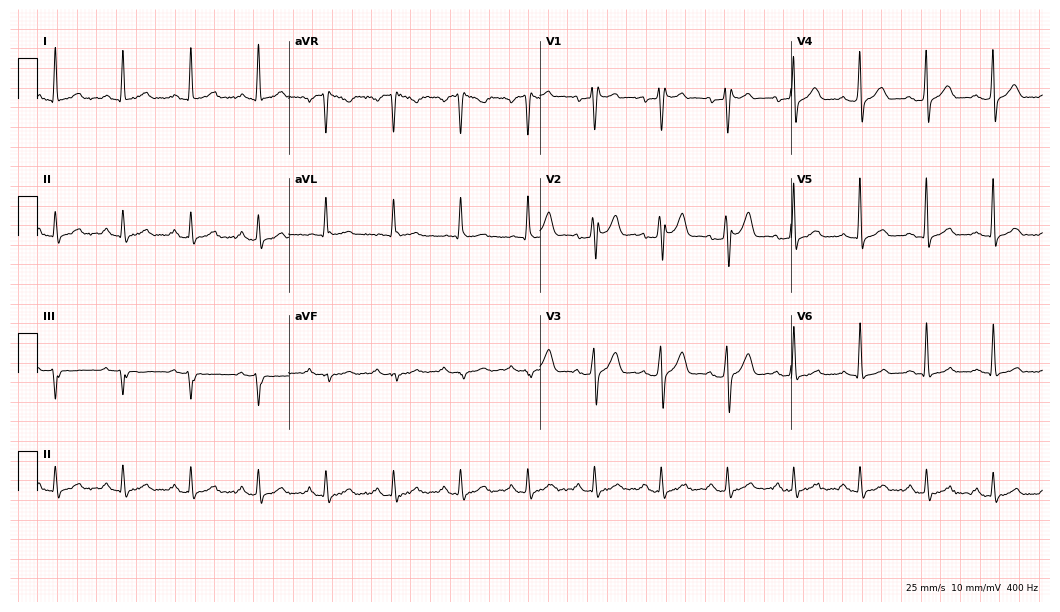
12-lead ECG from a 41-year-old male. Screened for six findings — first-degree AV block, right bundle branch block, left bundle branch block, sinus bradycardia, atrial fibrillation, sinus tachycardia — none is recorded.